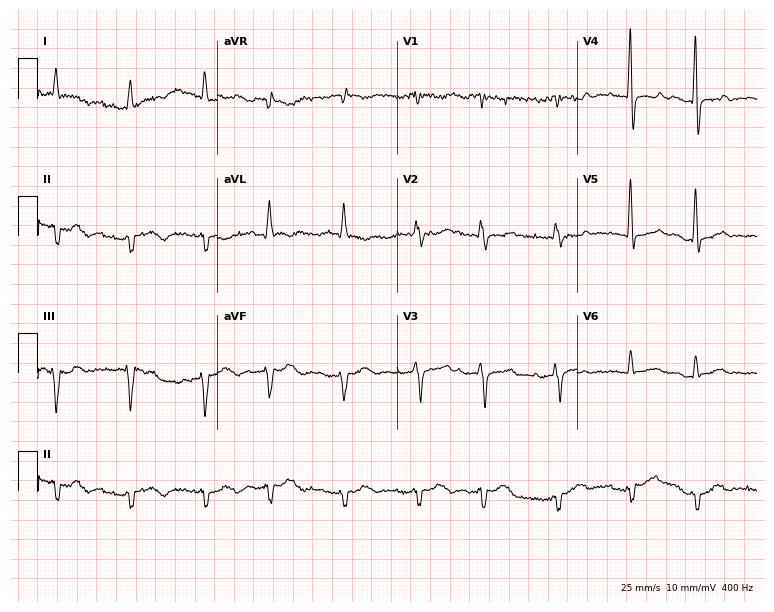
12-lead ECG from a 47-year-old man (7.3-second recording at 400 Hz). No first-degree AV block, right bundle branch block (RBBB), left bundle branch block (LBBB), sinus bradycardia, atrial fibrillation (AF) or sinus tachycardia recorded for this tracing.